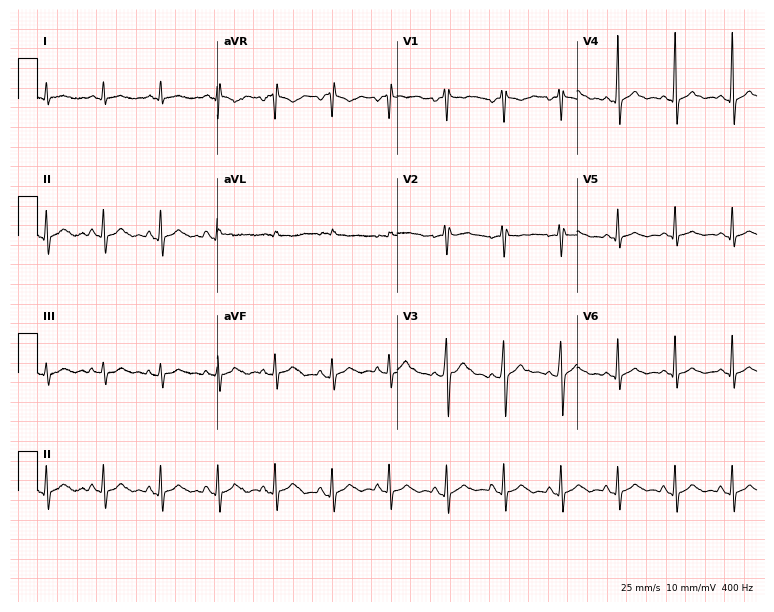
ECG (7.3-second recording at 400 Hz) — a 39-year-old male. Findings include sinus tachycardia (a sinus rate of 100 beats per minute or more).